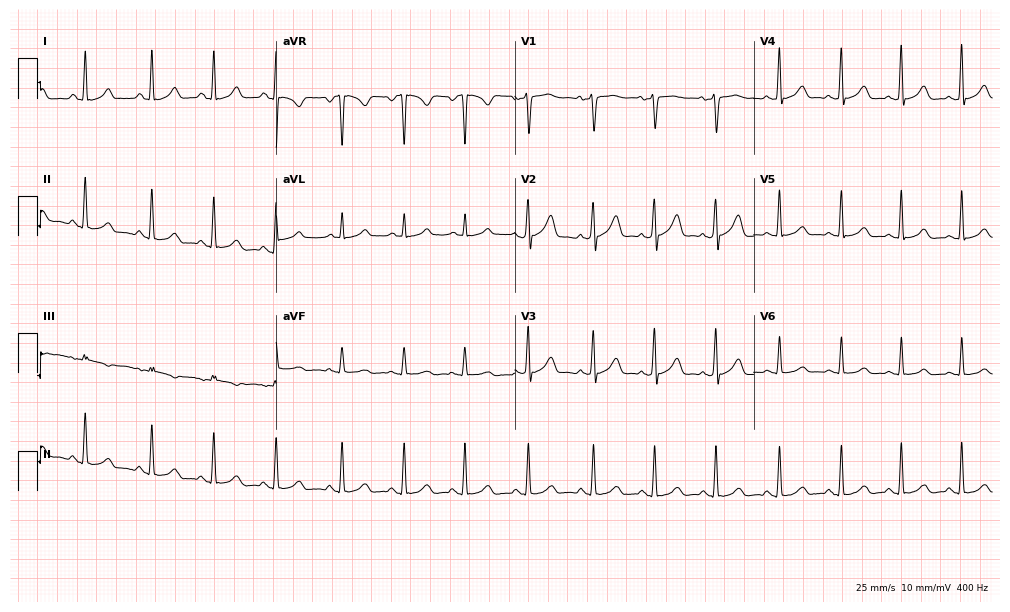
ECG — a woman, 31 years old. Labelled as a normal ECG.